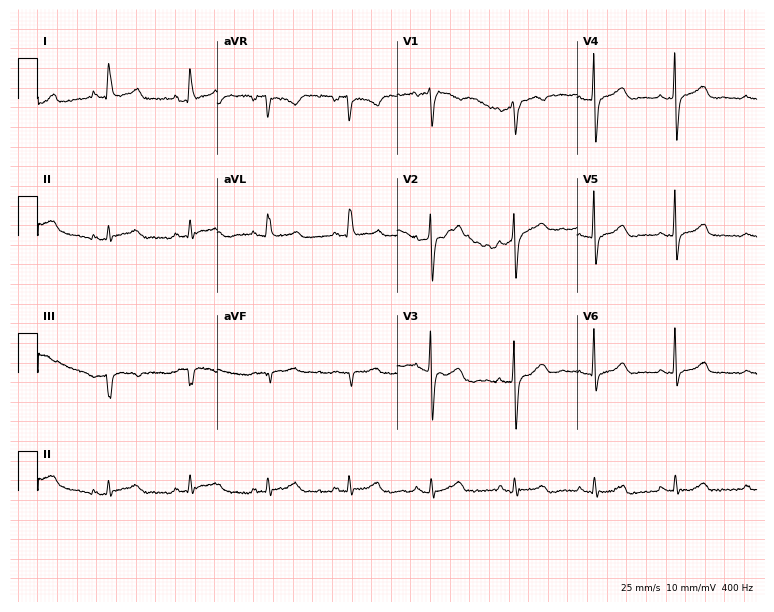
Resting 12-lead electrocardiogram. Patient: a female, 59 years old. None of these six findings is recorded: first-degree AV block, right bundle branch block, left bundle branch block, sinus bradycardia, atrial fibrillation, sinus tachycardia.